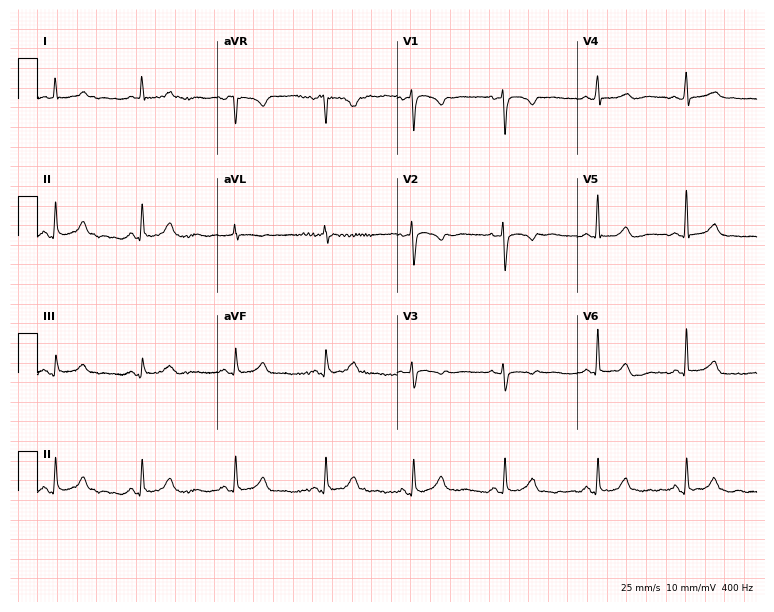
ECG (7.3-second recording at 400 Hz) — a female, 49 years old. Labelled as a normal ECG.